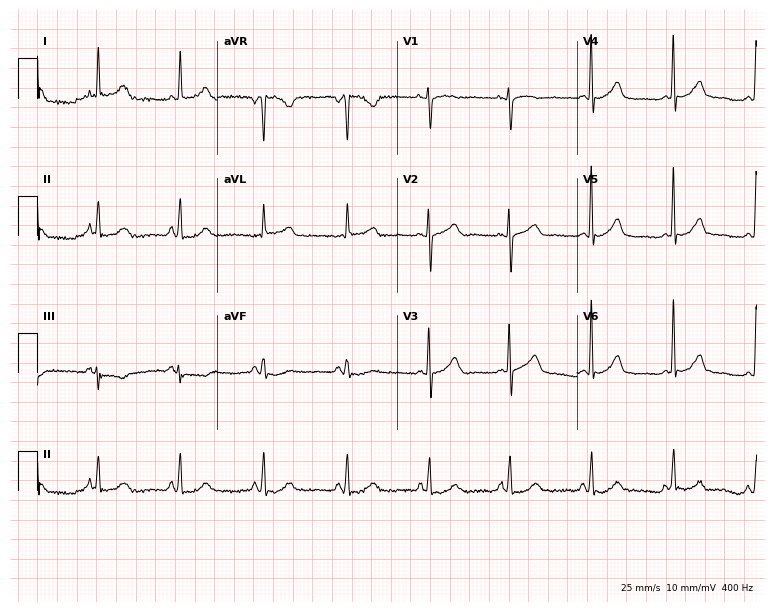
Electrocardiogram, a woman, 67 years old. Overall reading on record: normal ECG.